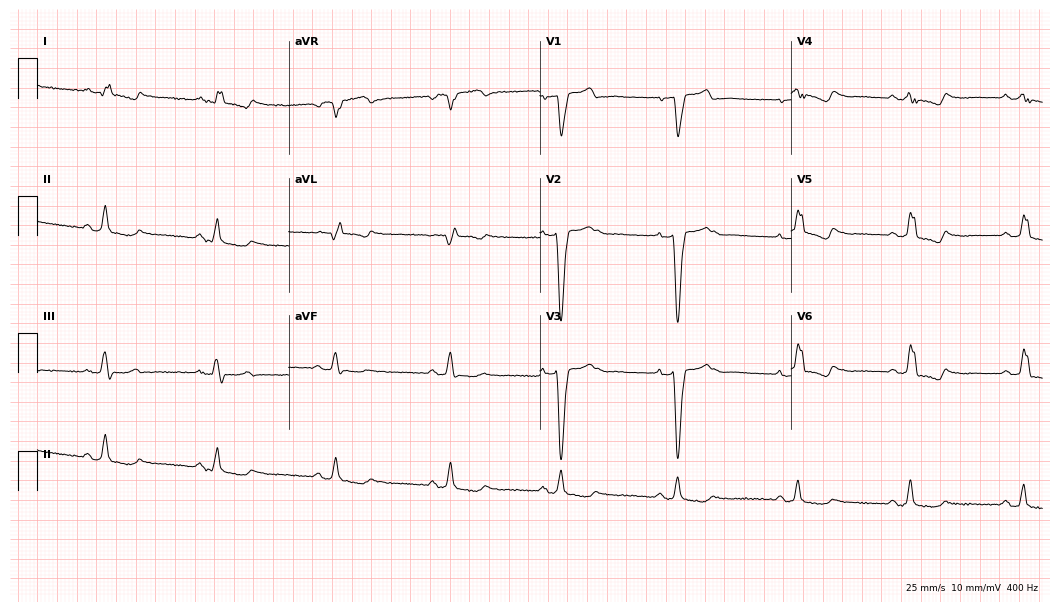
12-lead ECG from a female patient, 64 years old. Findings include left bundle branch block.